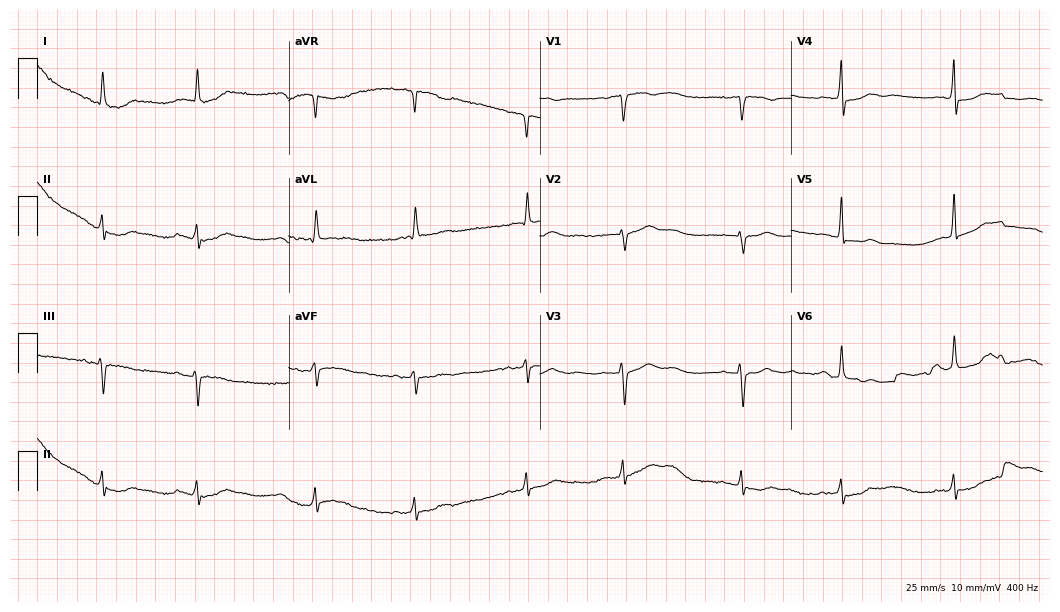
Resting 12-lead electrocardiogram. Patient: an 84-year-old female. None of these six findings is recorded: first-degree AV block, right bundle branch block (RBBB), left bundle branch block (LBBB), sinus bradycardia, atrial fibrillation (AF), sinus tachycardia.